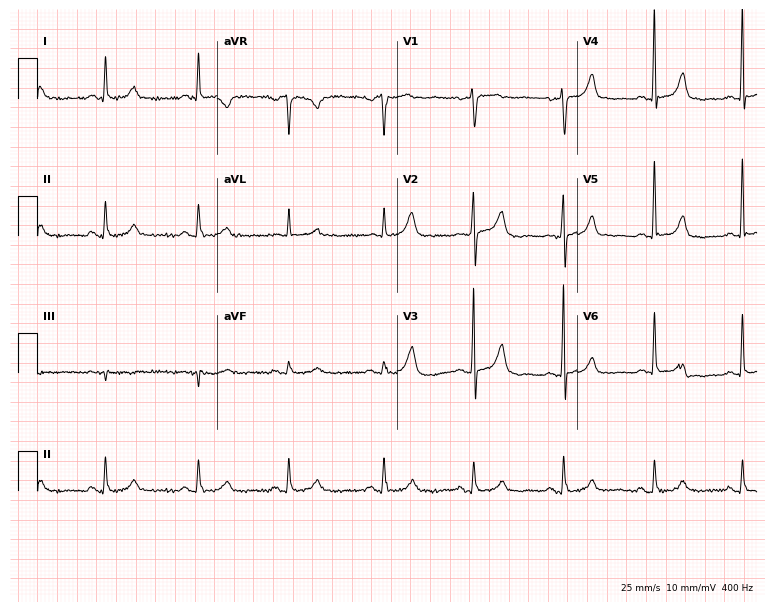
Electrocardiogram, an 80-year-old woman. Overall reading on record: normal ECG.